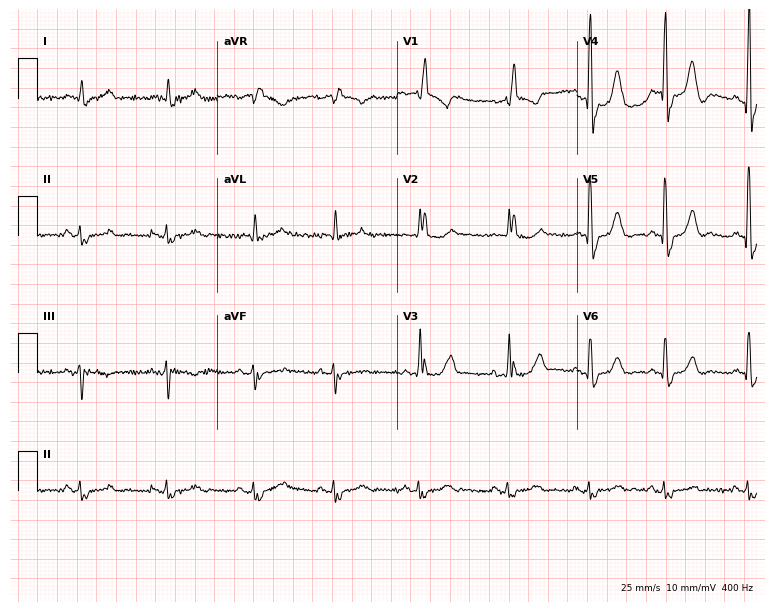
Resting 12-lead electrocardiogram. Patient: a 71-year-old man. The tracing shows right bundle branch block.